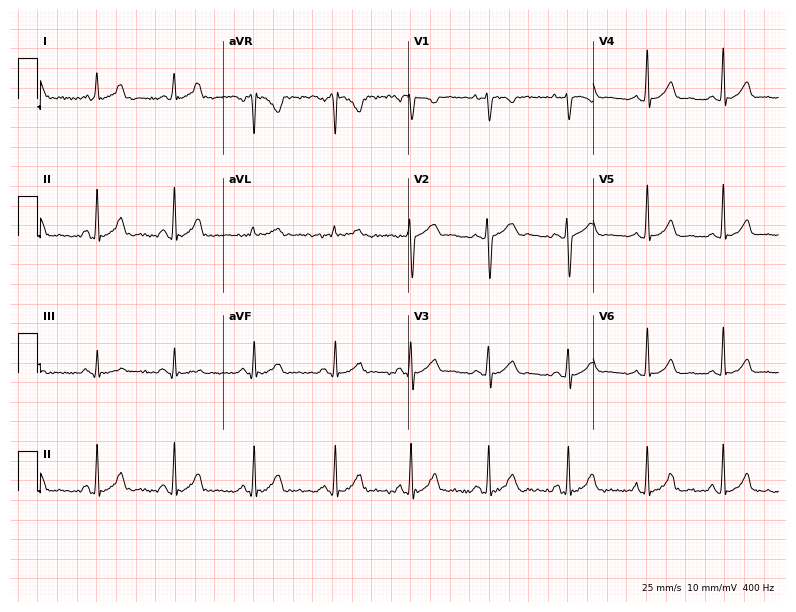
Electrocardiogram, a female, 24 years old. Overall reading on record: normal ECG.